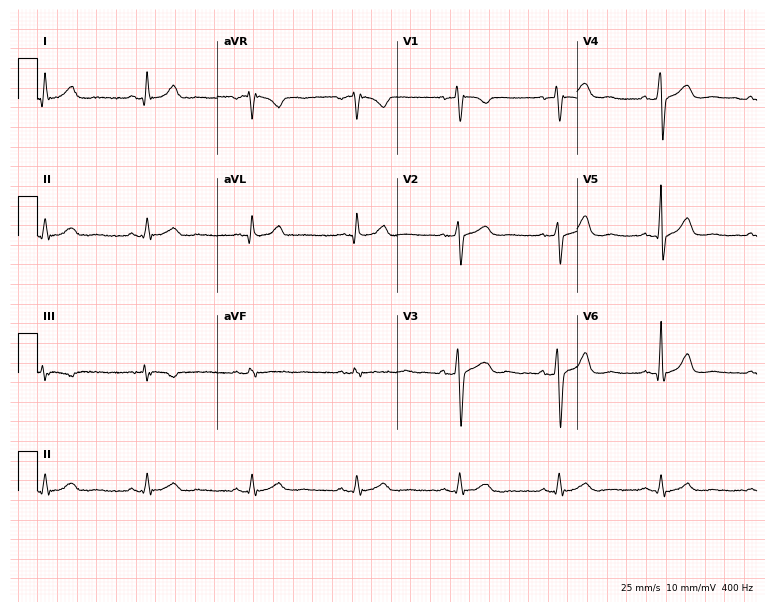
Electrocardiogram, a 54-year-old man. Of the six screened findings (first-degree AV block, right bundle branch block (RBBB), left bundle branch block (LBBB), sinus bradycardia, atrial fibrillation (AF), sinus tachycardia), none is recorded.